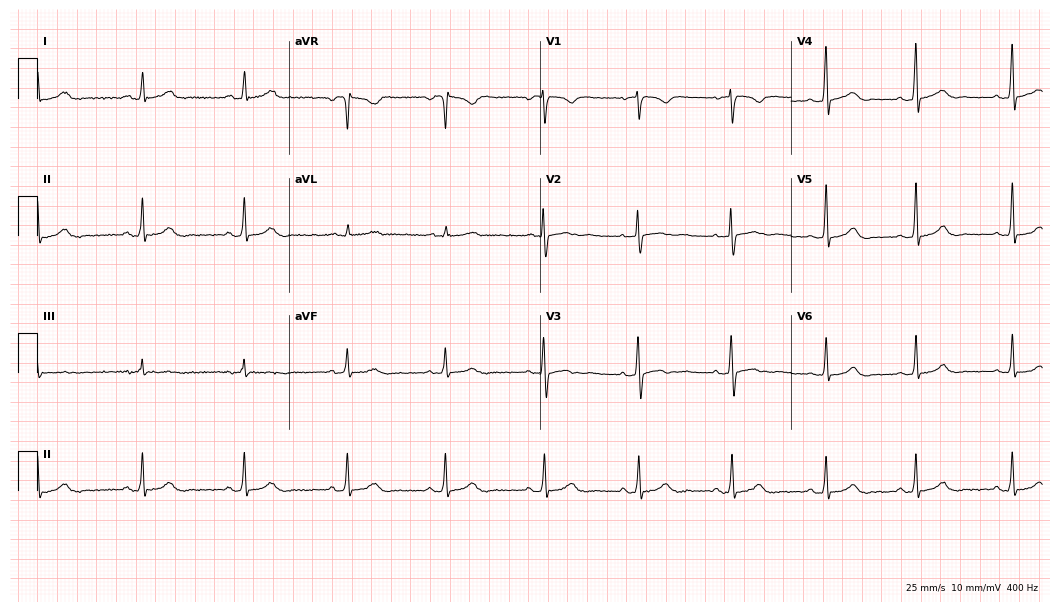
Resting 12-lead electrocardiogram (10.2-second recording at 400 Hz). Patient: a female, 42 years old. Read as a normal ECG.